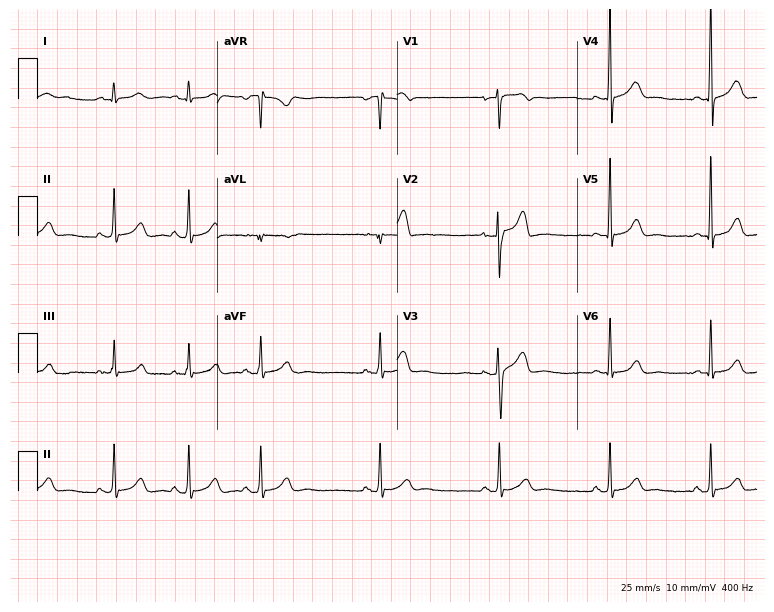
12-lead ECG (7.3-second recording at 400 Hz) from a woman, 20 years old. Screened for six findings — first-degree AV block, right bundle branch block, left bundle branch block, sinus bradycardia, atrial fibrillation, sinus tachycardia — none is recorded.